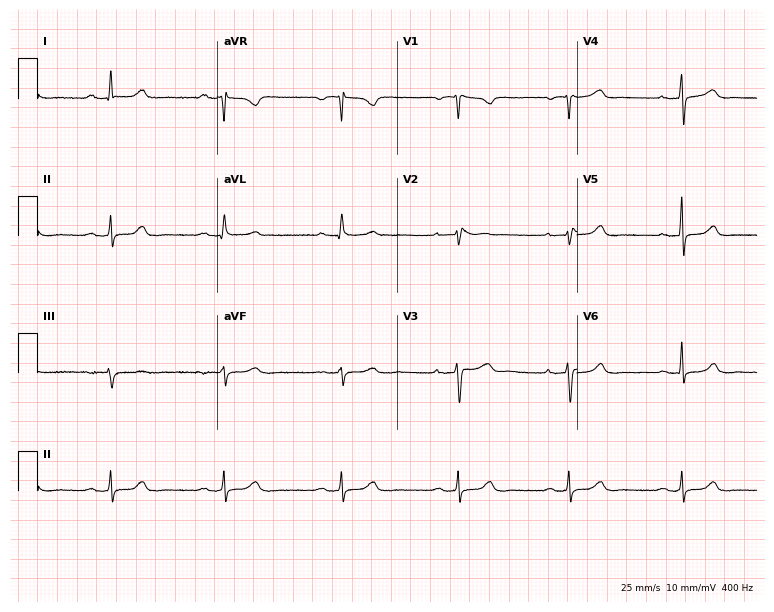
12-lead ECG from a 55-year-old woman. Shows first-degree AV block.